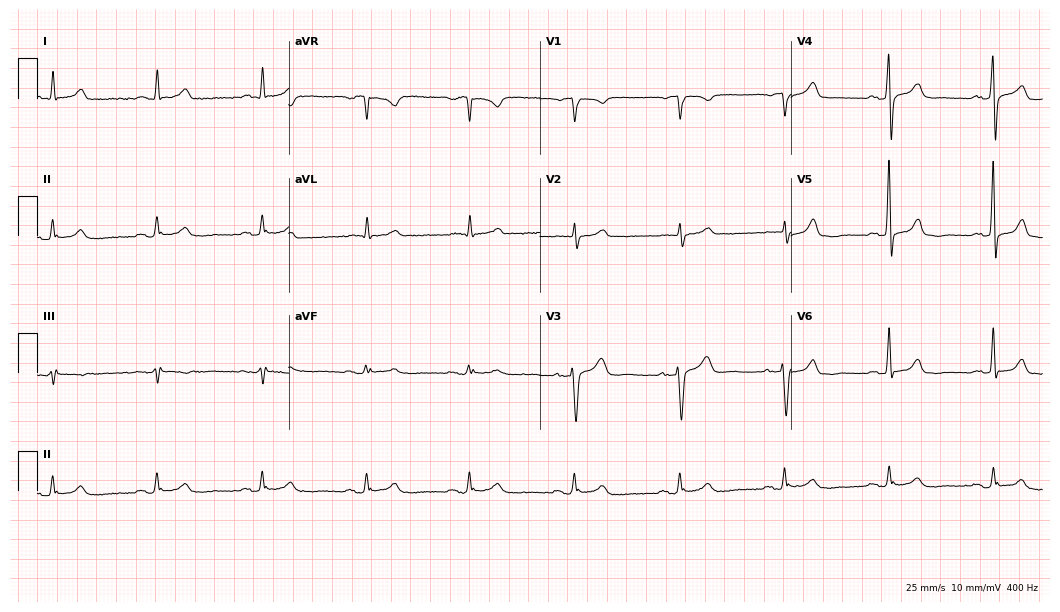
12-lead ECG from a man, 74 years old. Labelled as a normal ECG.